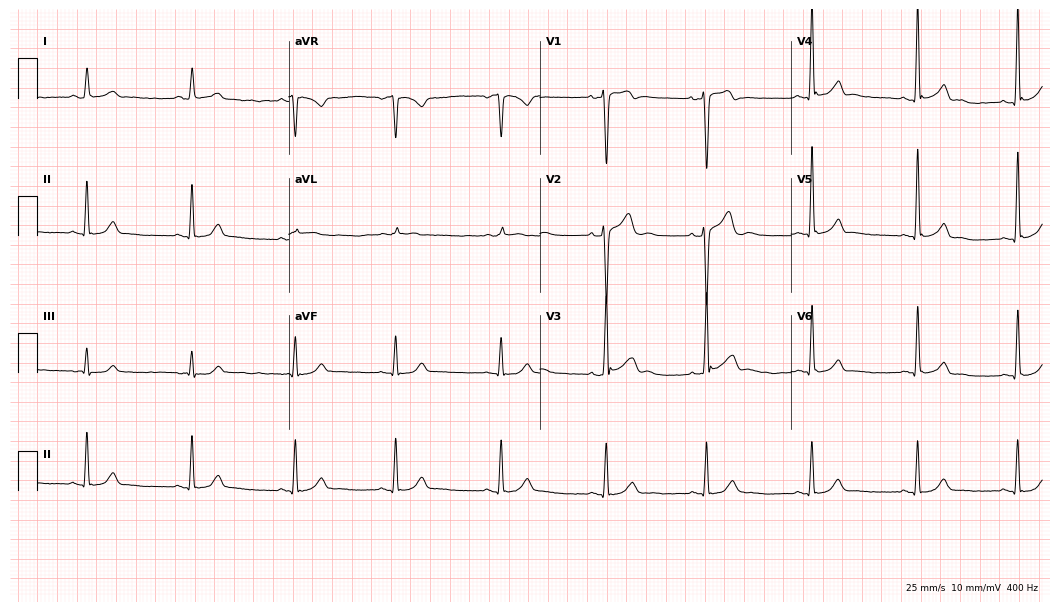
ECG (10.2-second recording at 400 Hz) — a male patient, 30 years old. Labelled as a normal ECG.